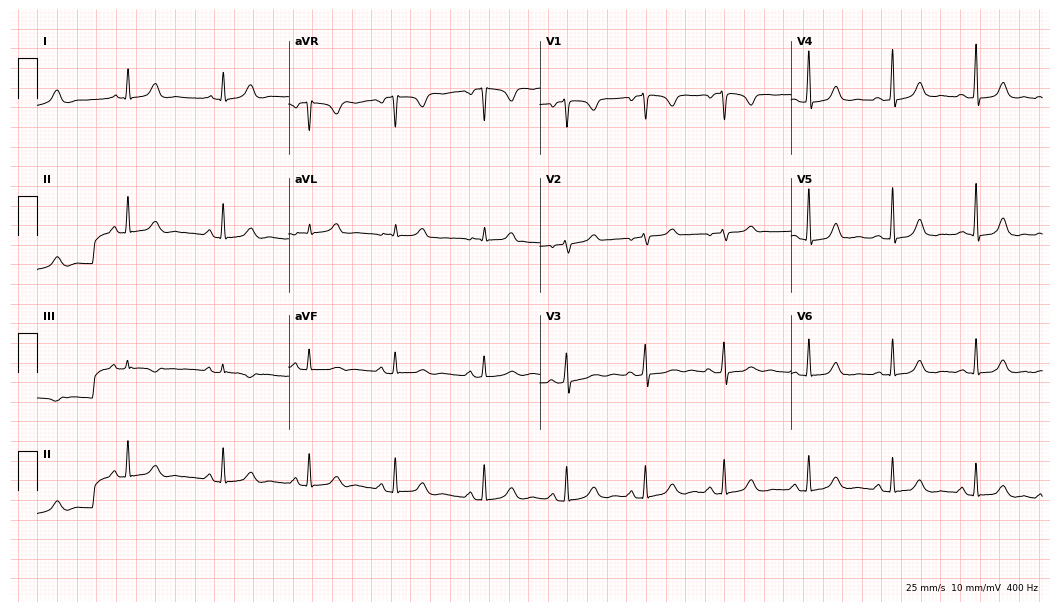
12-lead ECG from a female, 35 years old. Screened for six findings — first-degree AV block, right bundle branch block (RBBB), left bundle branch block (LBBB), sinus bradycardia, atrial fibrillation (AF), sinus tachycardia — none is recorded. Findings outside these six are not listed.